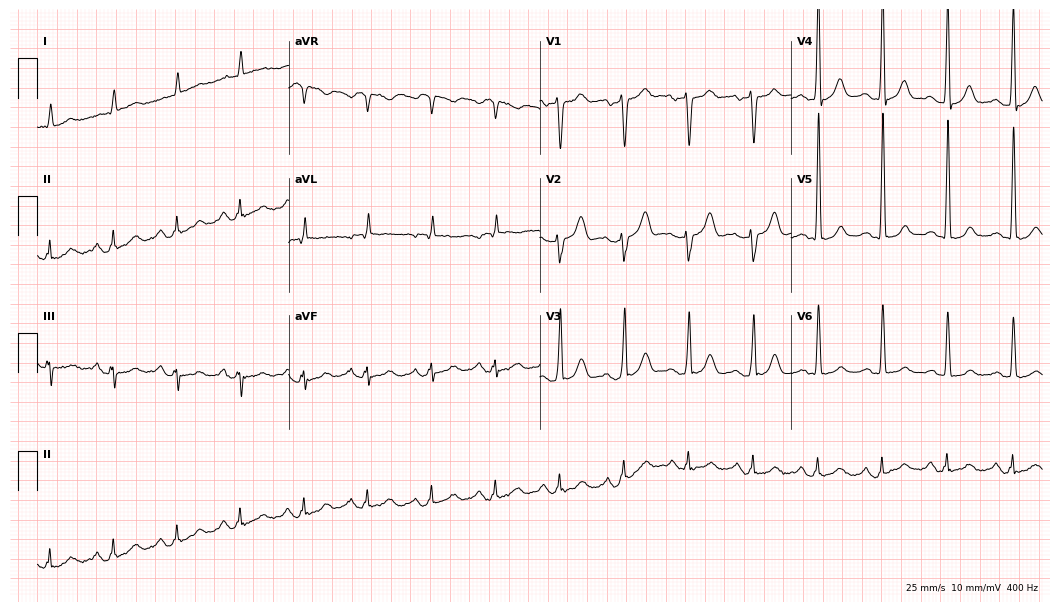
ECG (10.2-second recording at 400 Hz) — a 77-year-old male. Screened for six findings — first-degree AV block, right bundle branch block, left bundle branch block, sinus bradycardia, atrial fibrillation, sinus tachycardia — none is recorded.